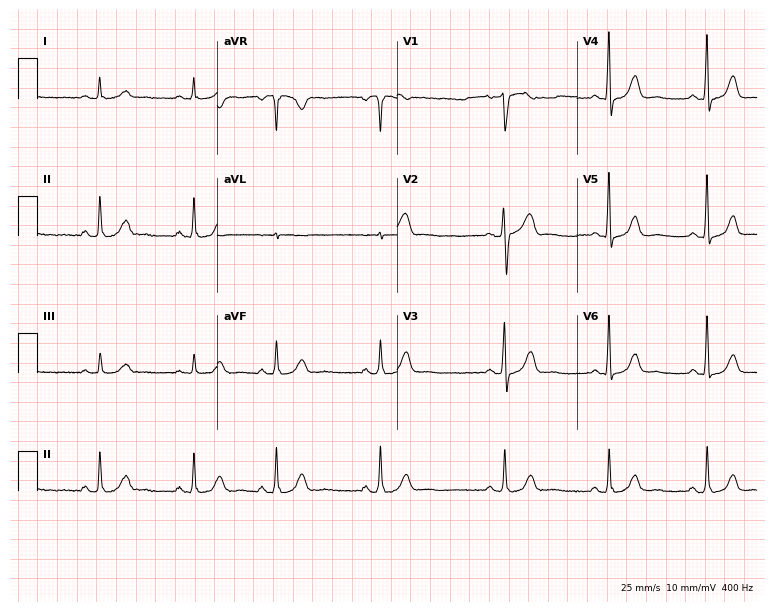
12-lead ECG from a 44-year-old woman (7.3-second recording at 400 Hz). Recorded interpretation: within normal limits.